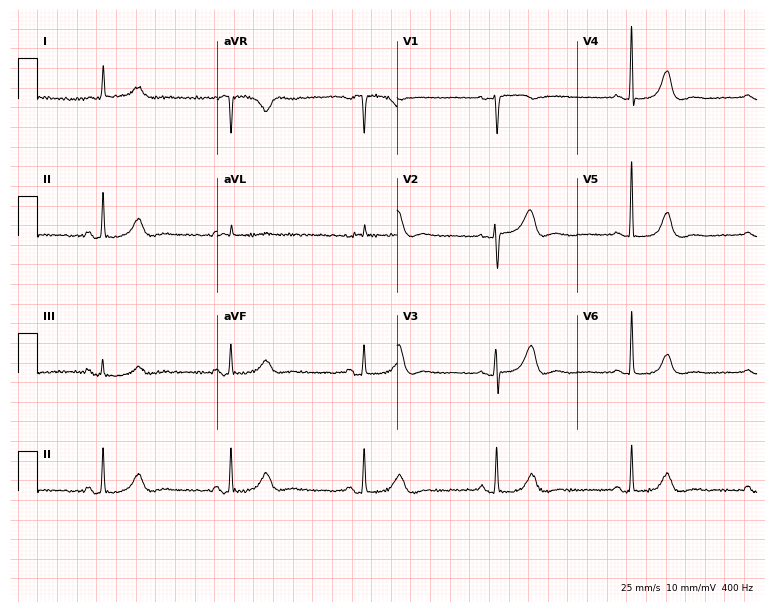
Standard 12-lead ECG recorded from a 78-year-old female (7.3-second recording at 400 Hz). The tracing shows sinus bradycardia (a sinus rate of 50 beats per minute or less).